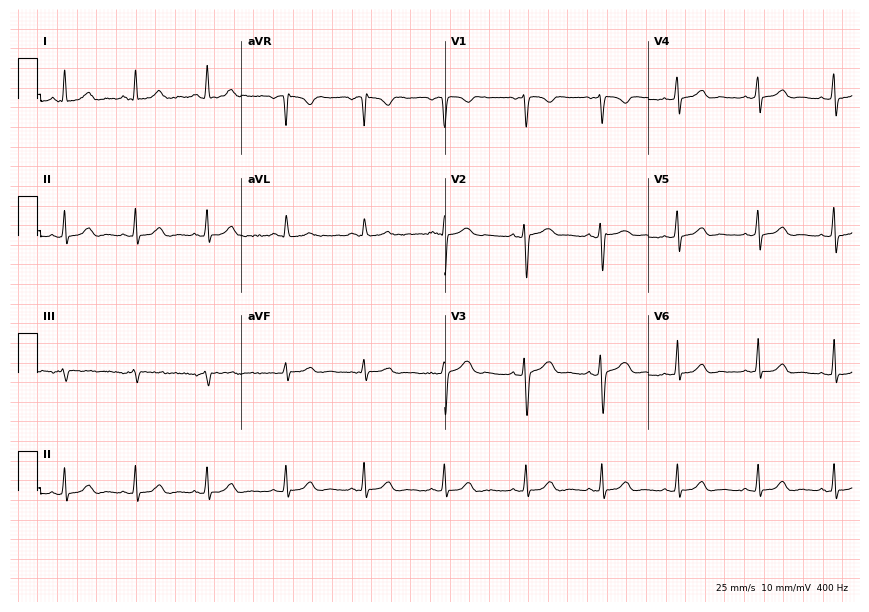
12-lead ECG (8.3-second recording at 400 Hz) from a 19-year-old female patient. Labelled as a normal ECG.